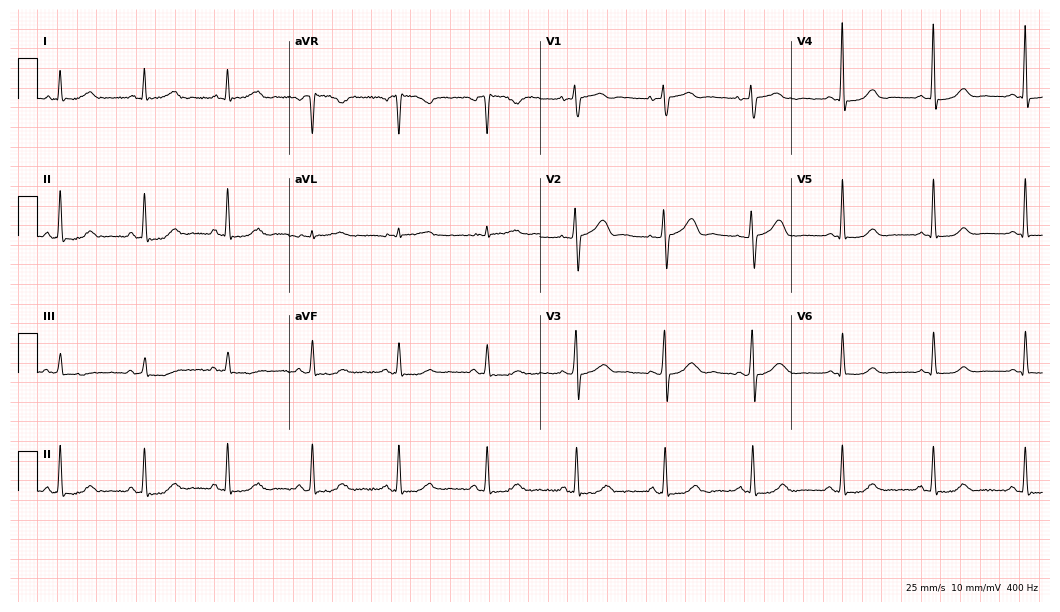
Standard 12-lead ECG recorded from a female, 52 years old. Read as a normal ECG.